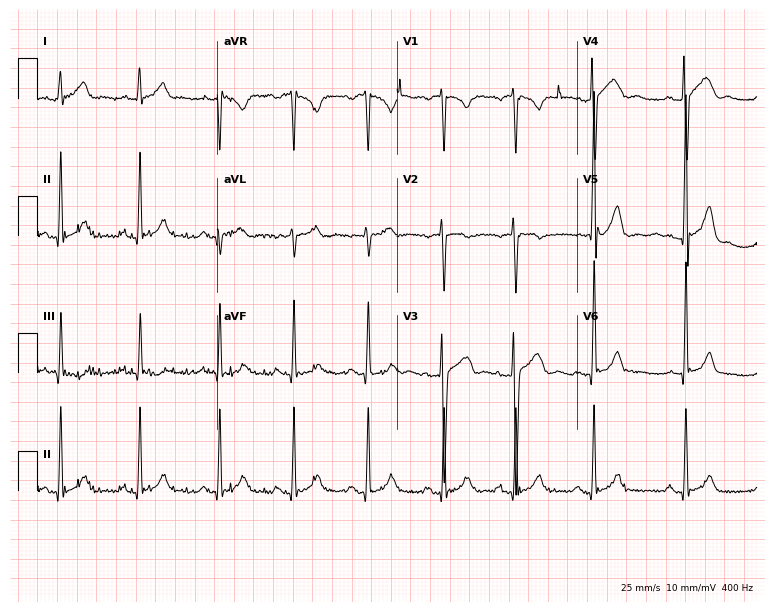
Resting 12-lead electrocardiogram. Patient: an 18-year-old male. None of these six findings is recorded: first-degree AV block, right bundle branch block, left bundle branch block, sinus bradycardia, atrial fibrillation, sinus tachycardia. Other findings, if any, are not listed.